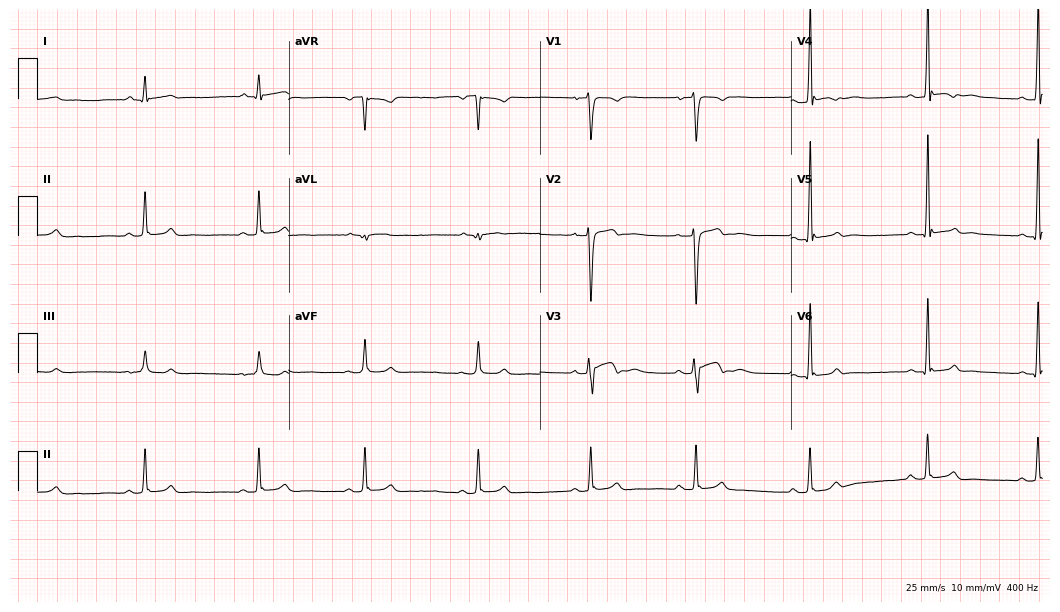
ECG — a 19-year-old male patient. Labelled as a normal ECG.